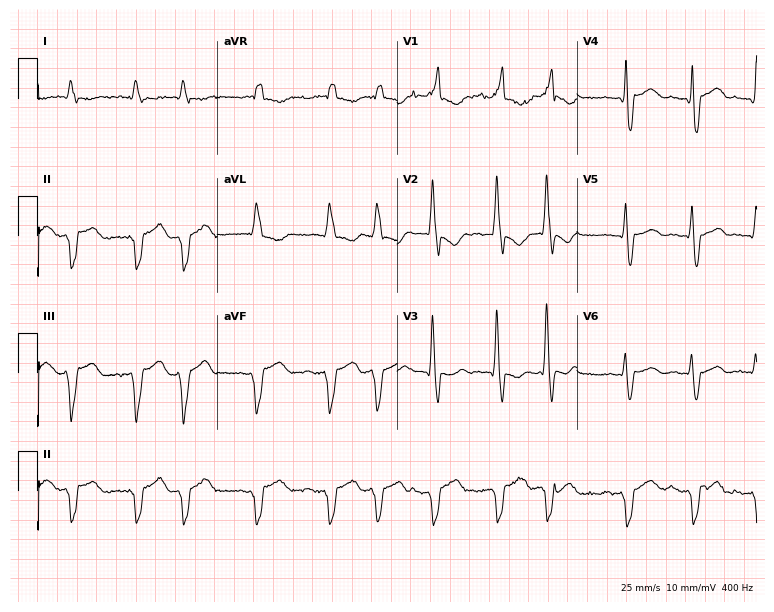
Standard 12-lead ECG recorded from a woman, 85 years old (7.3-second recording at 400 Hz). The tracing shows right bundle branch block (RBBB), atrial fibrillation (AF).